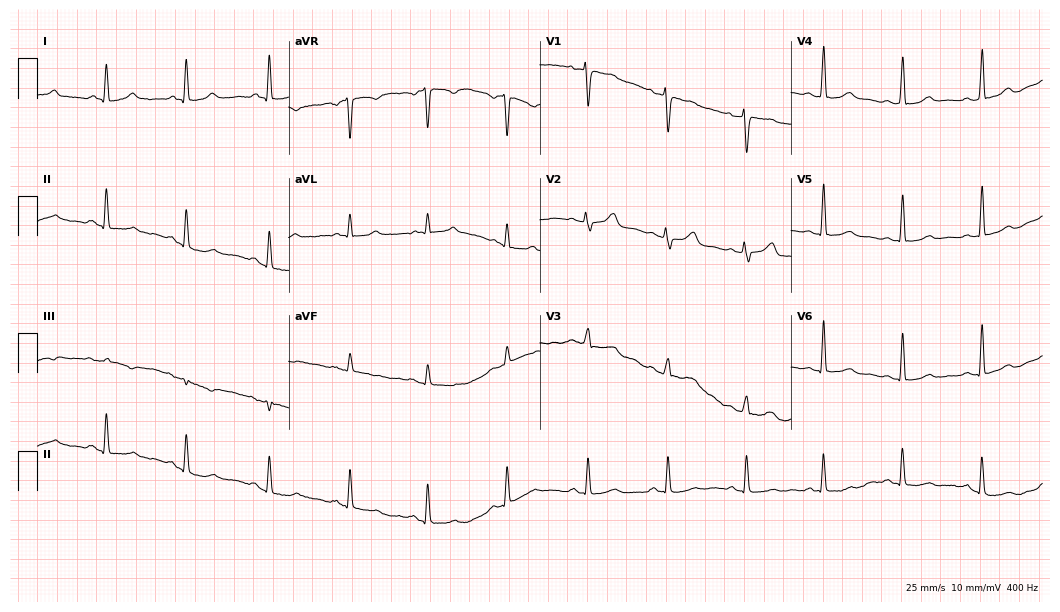
Electrocardiogram, a 41-year-old female patient. Overall reading on record: normal ECG.